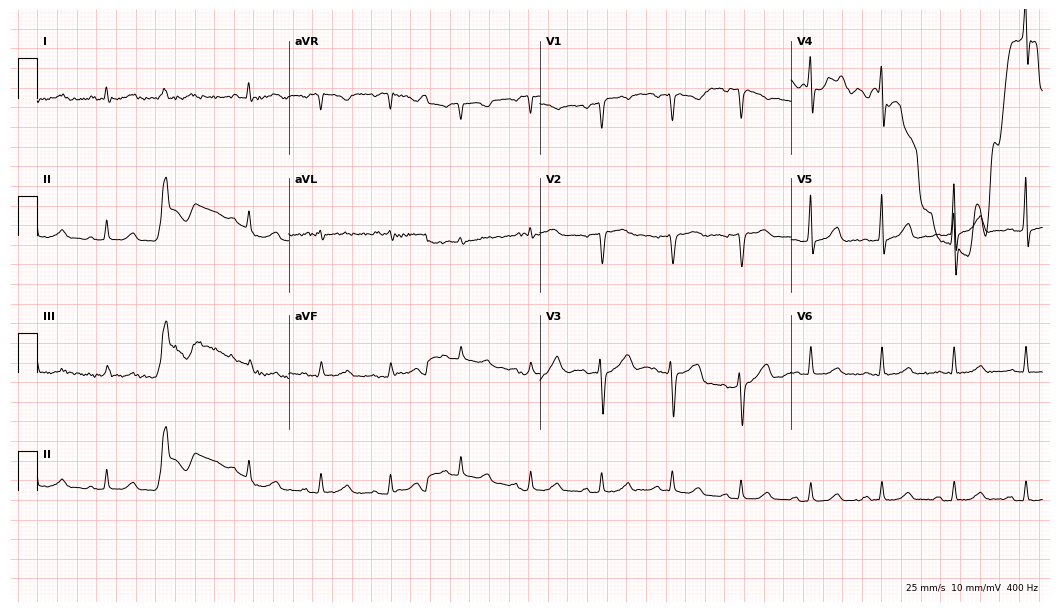
Standard 12-lead ECG recorded from a man, 50 years old. None of these six findings is recorded: first-degree AV block, right bundle branch block (RBBB), left bundle branch block (LBBB), sinus bradycardia, atrial fibrillation (AF), sinus tachycardia.